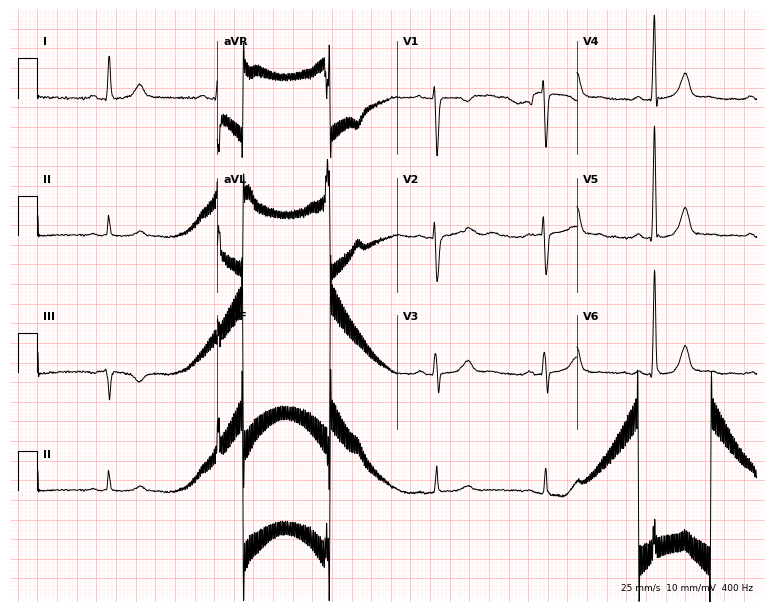
12-lead ECG (7.3-second recording at 400 Hz) from a 73-year-old female. Screened for six findings — first-degree AV block, right bundle branch block (RBBB), left bundle branch block (LBBB), sinus bradycardia, atrial fibrillation (AF), sinus tachycardia — none is recorded.